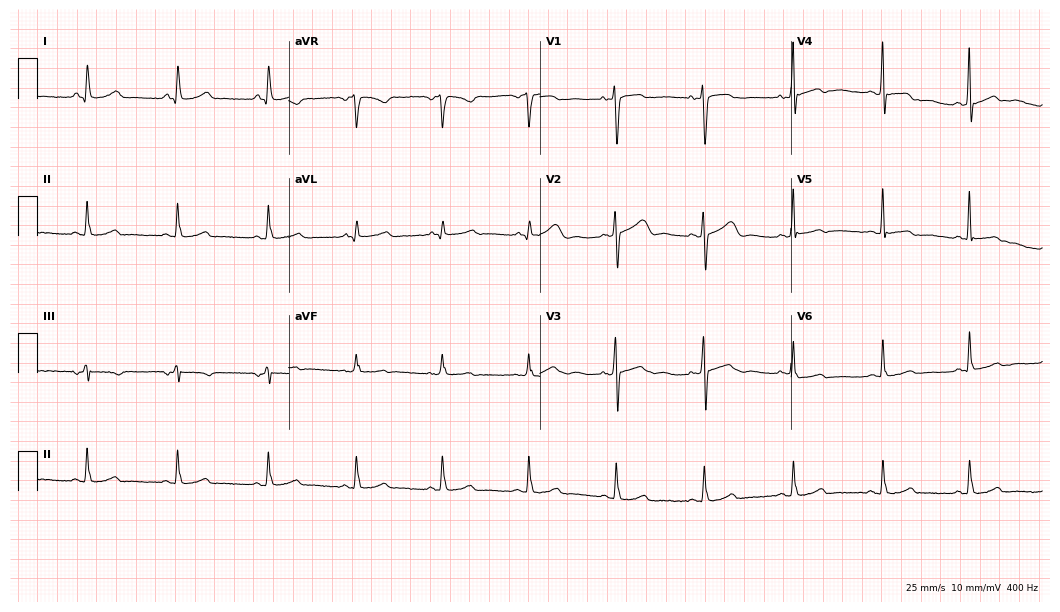
Resting 12-lead electrocardiogram. Patient: a woman, 57 years old. Read as a normal ECG.